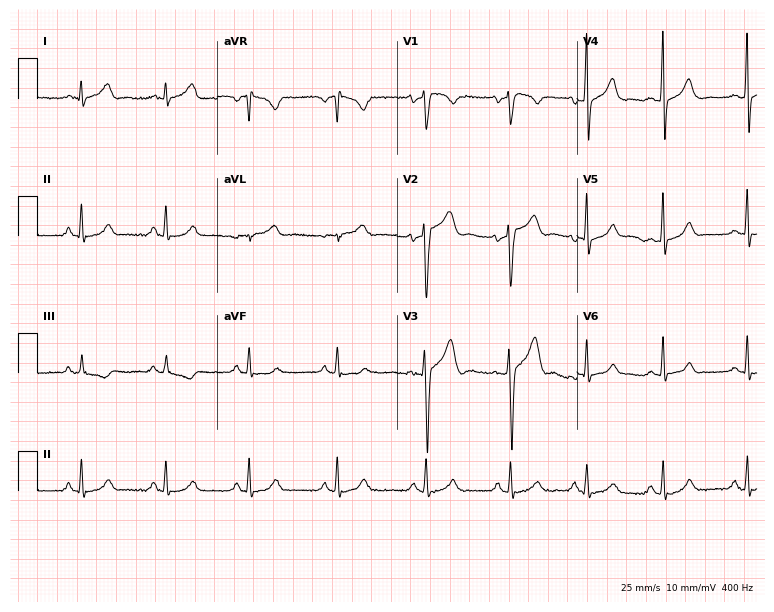
ECG — a man, 24 years old. Screened for six findings — first-degree AV block, right bundle branch block (RBBB), left bundle branch block (LBBB), sinus bradycardia, atrial fibrillation (AF), sinus tachycardia — none is recorded.